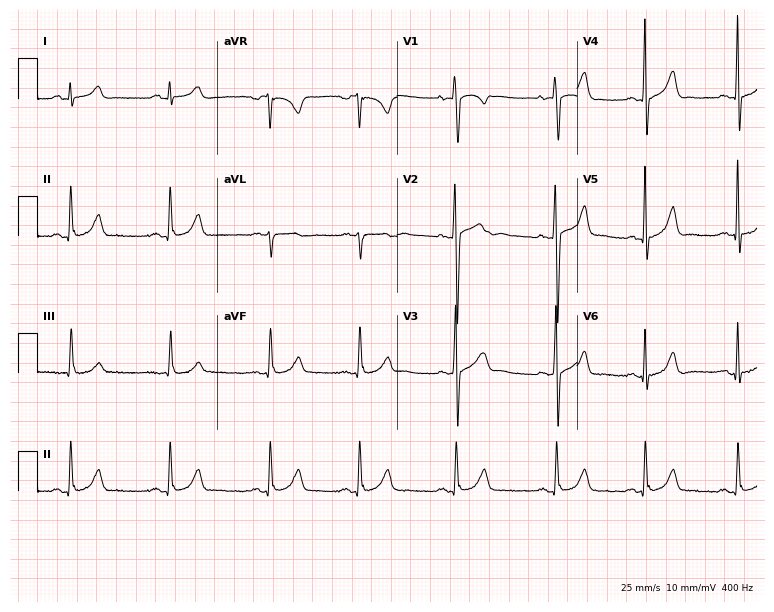
Electrocardiogram (7.3-second recording at 400 Hz), an 18-year-old male. Of the six screened findings (first-degree AV block, right bundle branch block, left bundle branch block, sinus bradycardia, atrial fibrillation, sinus tachycardia), none is recorded. Findings outside these six are not listed.